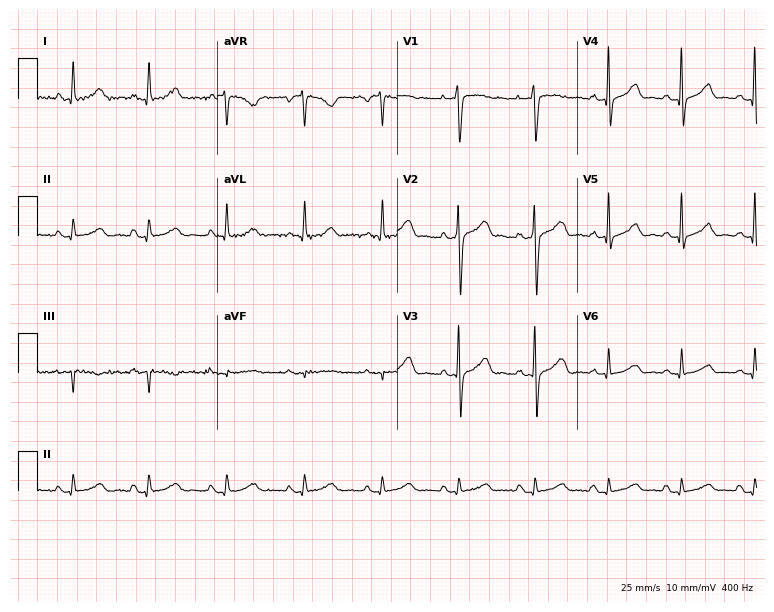
Resting 12-lead electrocardiogram. Patient: a 41-year-old male. Read as a normal ECG.